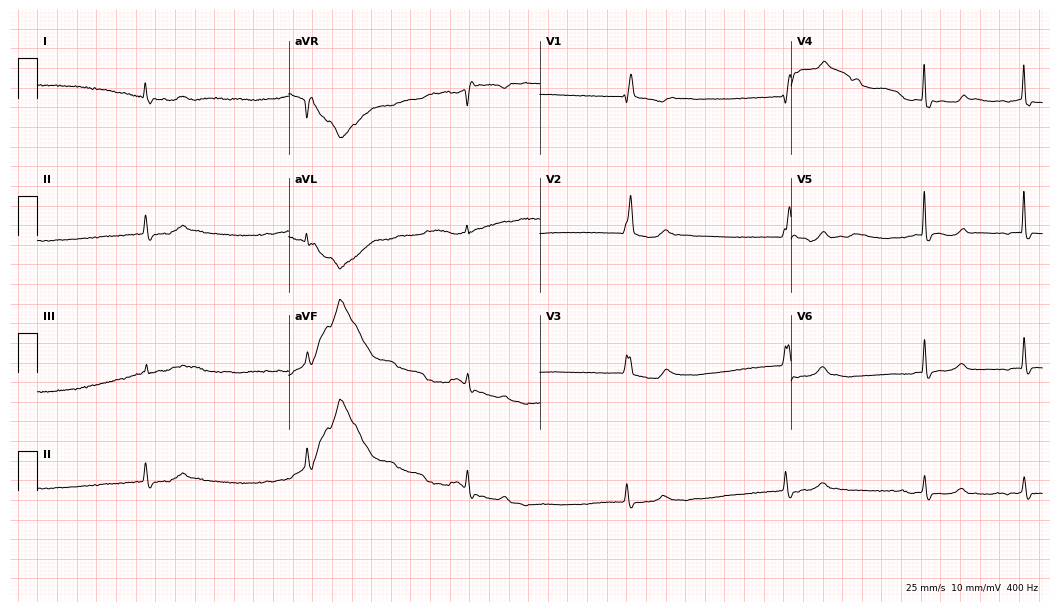
Resting 12-lead electrocardiogram (10.2-second recording at 400 Hz). Patient: a female, 85 years old. The tracing shows right bundle branch block (RBBB), atrial fibrillation (AF).